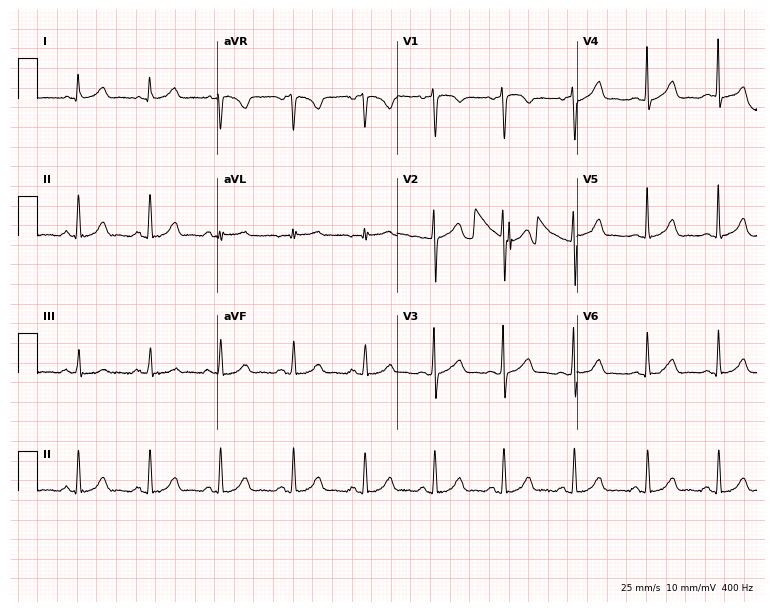
Standard 12-lead ECG recorded from a female, 29 years old (7.3-second recording at 400 Hz). None of these six findings is recorded: first-degree AV block, right bundle branch block, left bundle branch block, sinus bradycardia, atrial fibrillation, sinus tachycardia.